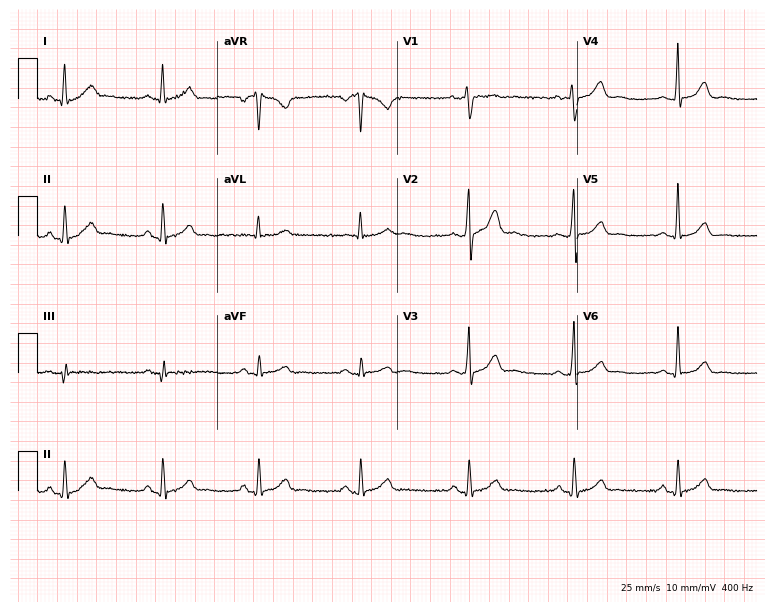
12-lead ECG (7.3-second recording at 400 Hz) from a 36-year-old man. Labelled as a normal ECG.